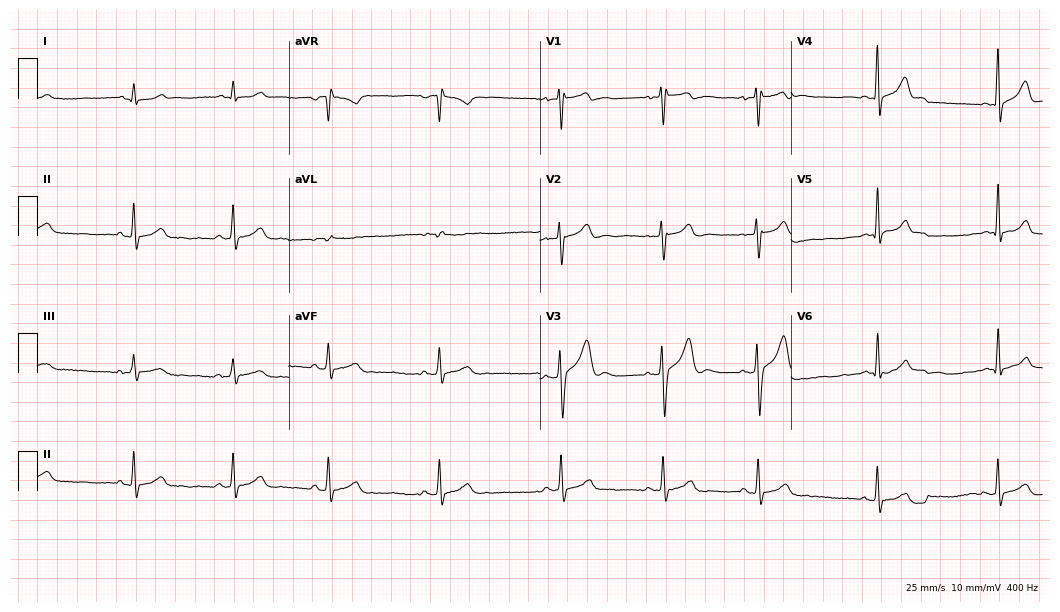
Resting 12-lead electrocardiogram (10.2-second recording at 400 Hz). Patient: a 24-year-old man. Read as a normal ECG.